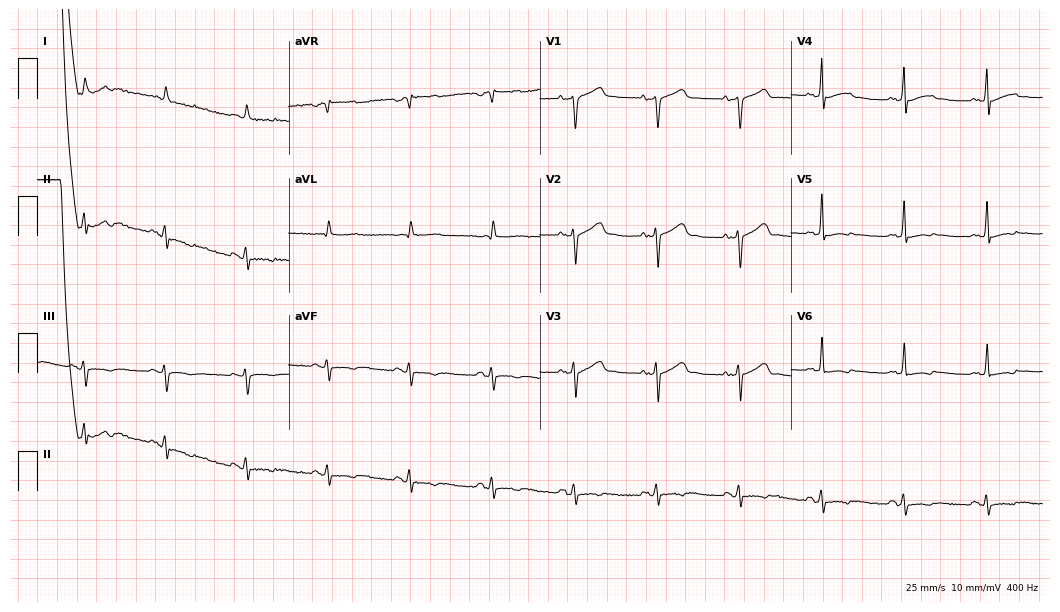
Electrocardiogram, a man, 83 years old. Of the six screened findings (first-degree AV block, right bundle branch block (RBBB), left bundle branch block (LBBB), sinus bradycardia, atrial fibrillation (AF), sinus tachycardia), none is recorded. Other findings, if any, are not listed.